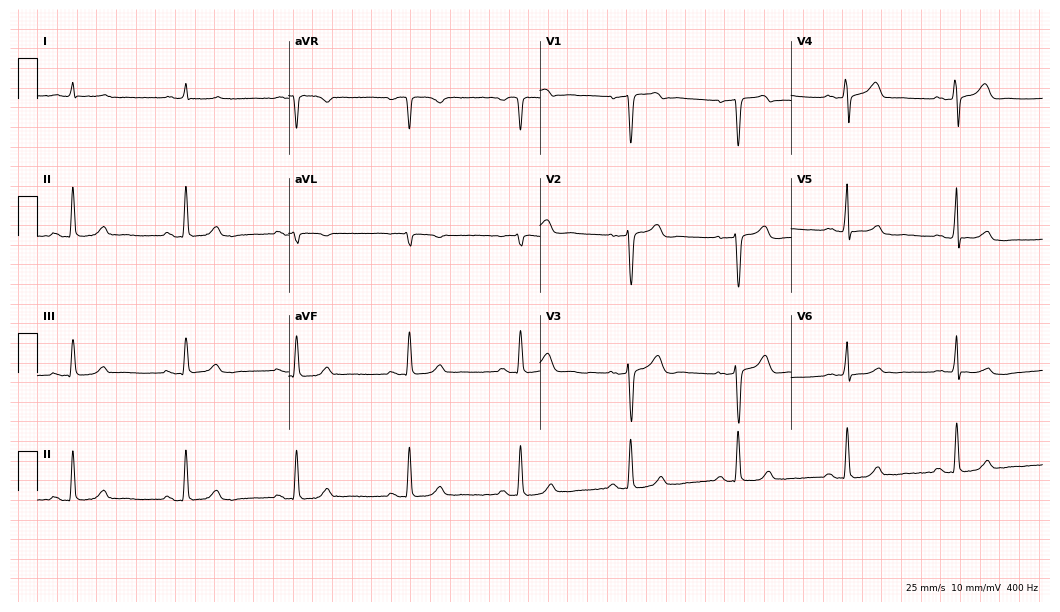
Electrocardiogram, a 74-year-old man. Overall reading on record: normal ECG.